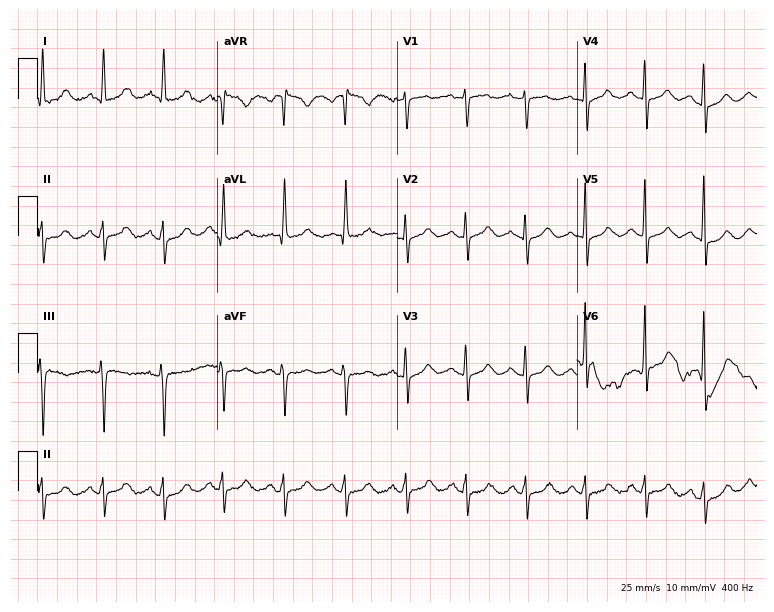
12-lead ECG from a female patient, 68 years old. No first-degree AV block, right bundle branch block, left bundle branch block, sinus bradycardia, atrial fibrillation or sinus tachycardia recorded for this tracing.